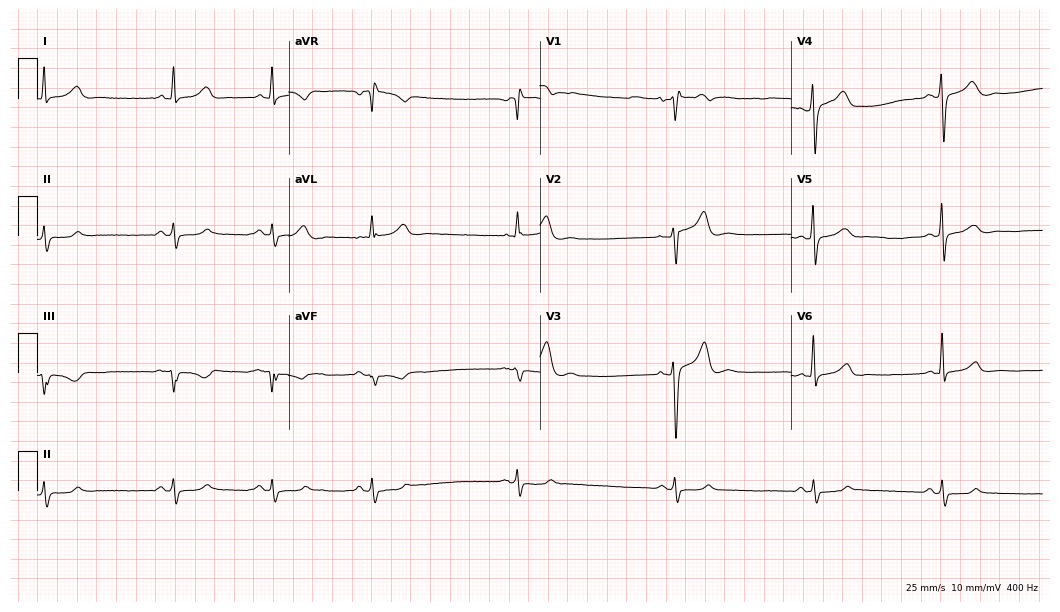
Electrocardiogram (10.2-second recording at 400 Hz), a 39-year-old man. Interpretation includes sinus bradycardia (a sinus rate of 50 beats per minute or less).